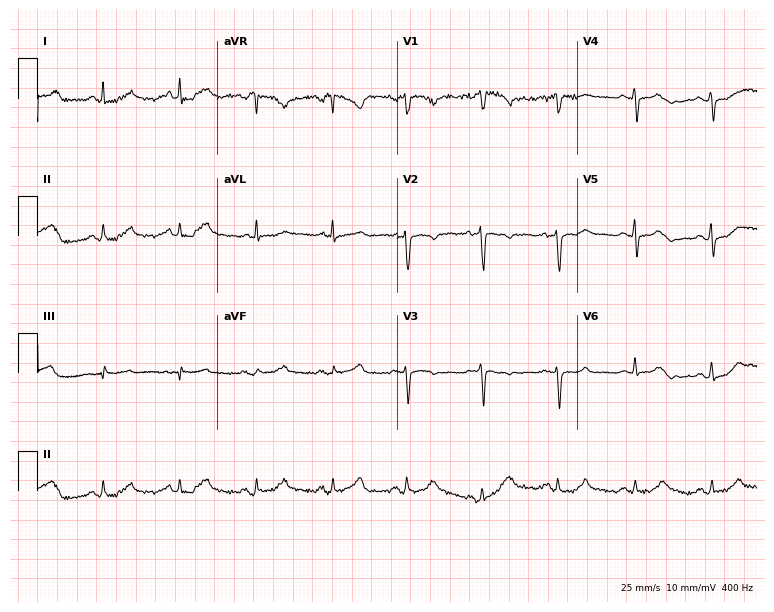
ECG (7.3-second recording at 400 Hz) — a 42-year-old female. Screened for six findings — first-degree AV block, right bundle branch block, left bundle branch block, sinus bradycardia, atrial fibrillation, sinus tachycardia — none is recorded.